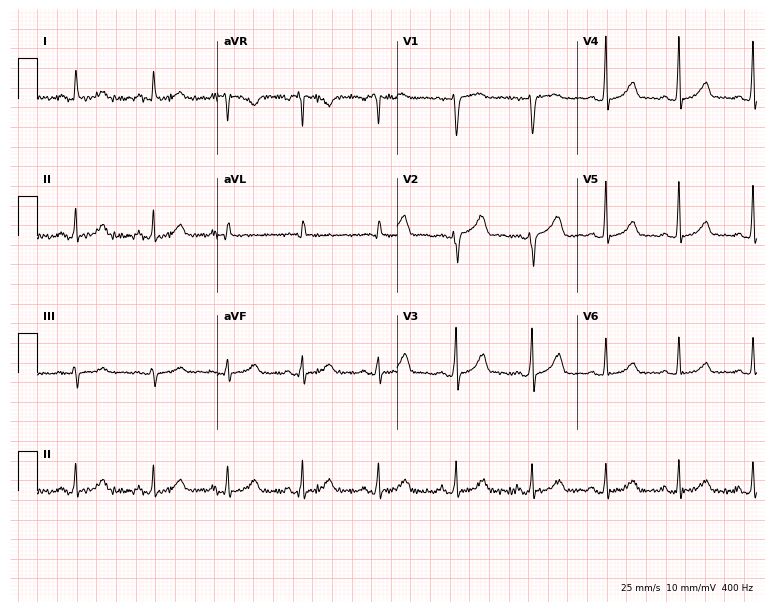
Standard 12-lead ECG recorded from a woman, 41 years old. Read as a normal ECG.